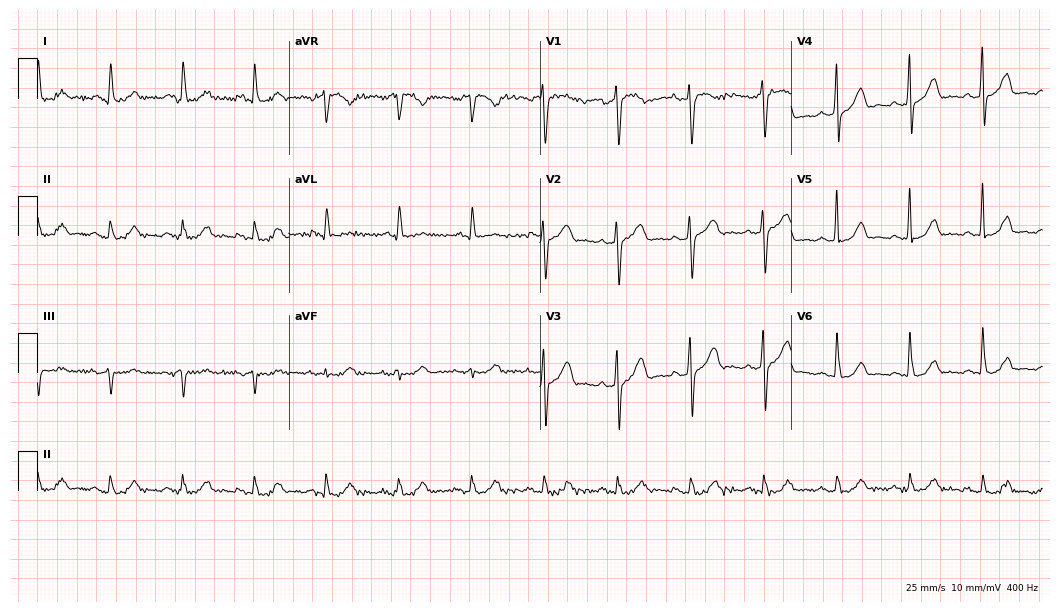
12-lead ECG from a 58-year-old male. Recorded interpretation: within normal limits.